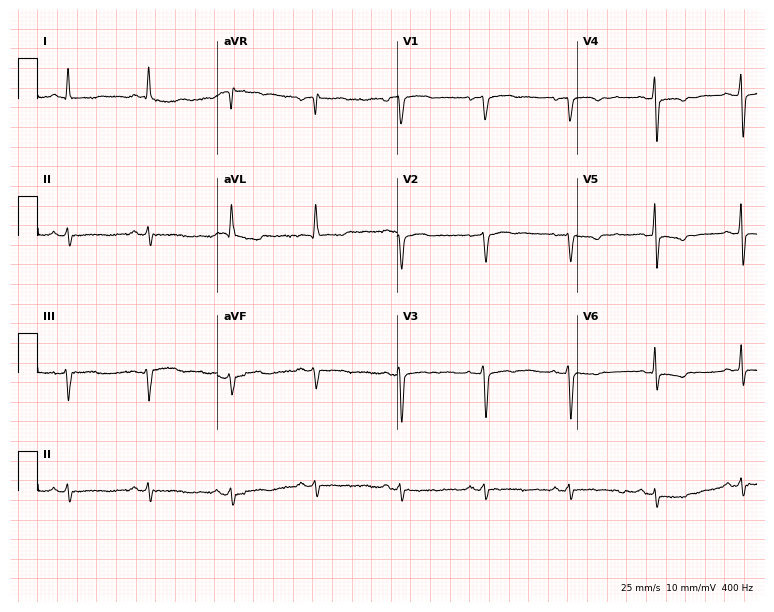
ECG (7.3-second recording at 400 Hz) — a 58-year-old female patient. Screened for six findings — first-degree AV block, right bundle branch block (RBBB), left bundle branch block (LBBB), sinus bradycardia, atrial fibrillation (AF), sinus tachycardia — none is recorded. Findings outside these six are not listed.